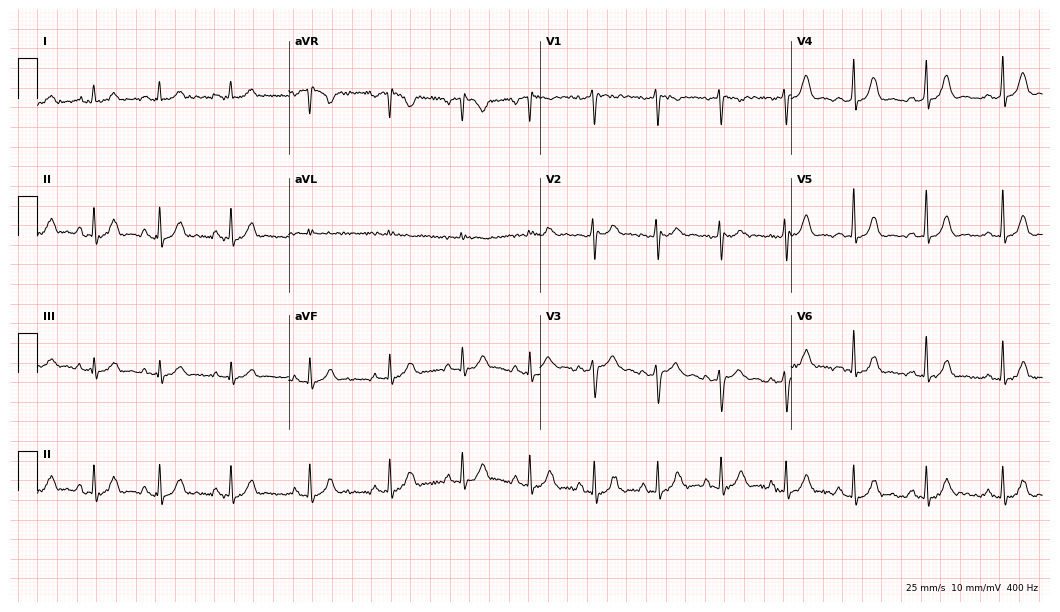
ECG (10.2-second recording at 400 Hz) — a 32-year-old male. Labelled as a normal ECG.